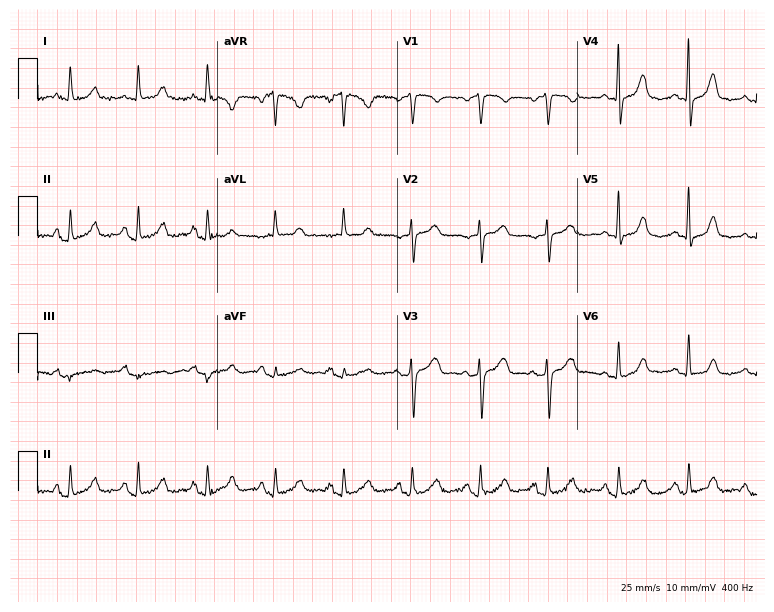
Resting 12-lead electrocardiogram. Patient: a 72-year-old female. Read as a normal ECG.